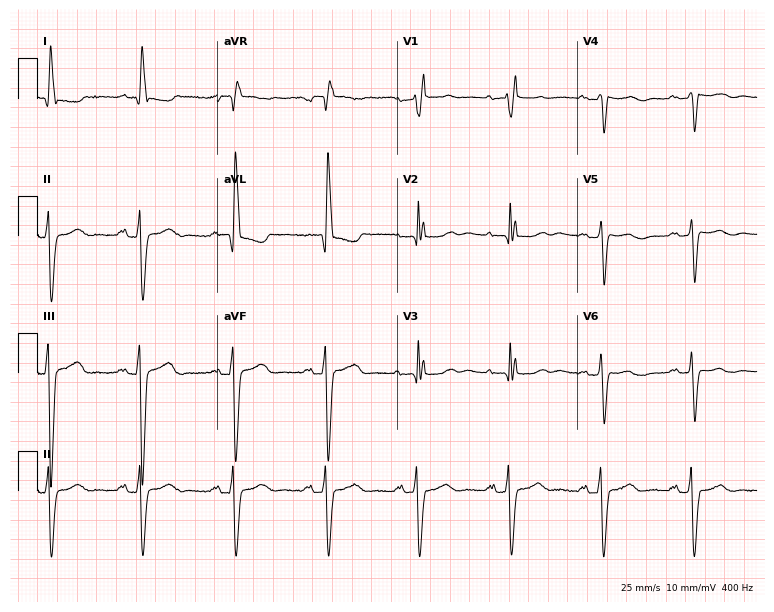
ECG (7.3-second recording at 400 Hz) — an 86-year-old female. Findings include right bundle branch block.